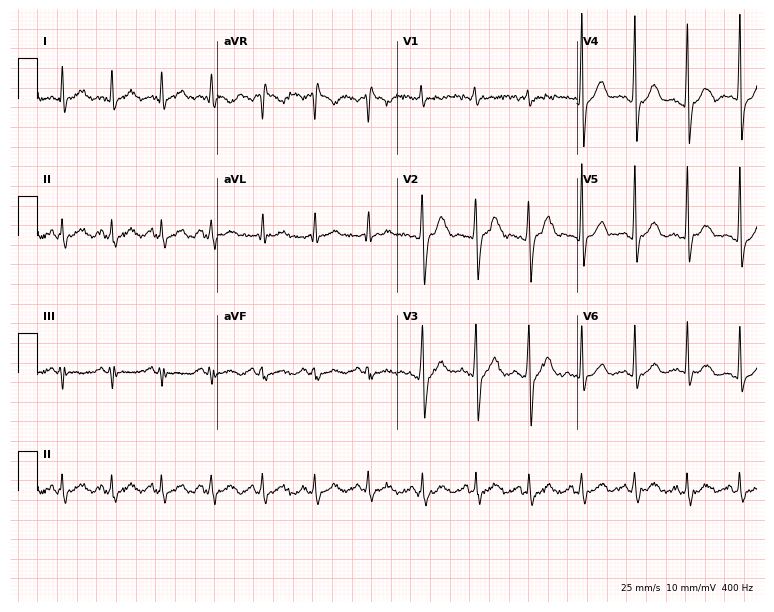
12-lead ECG from a male, 32 years old. Shows sinus tachycardia (a sinus rate of 100 beats per minute or more).